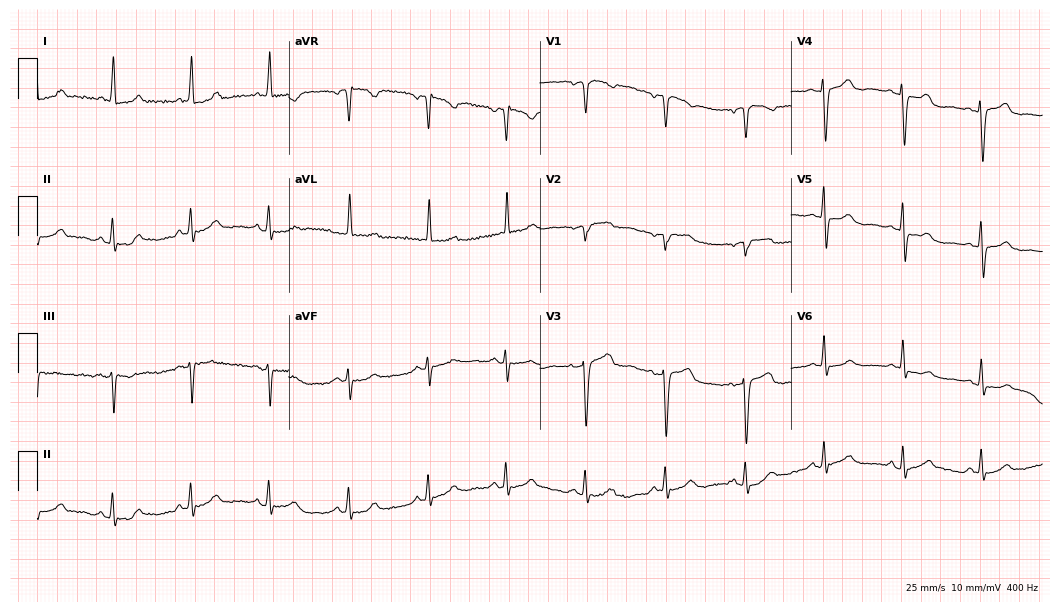
Electrocardiogram, a 68-year-old female. Overall reading on record: normal ECG.